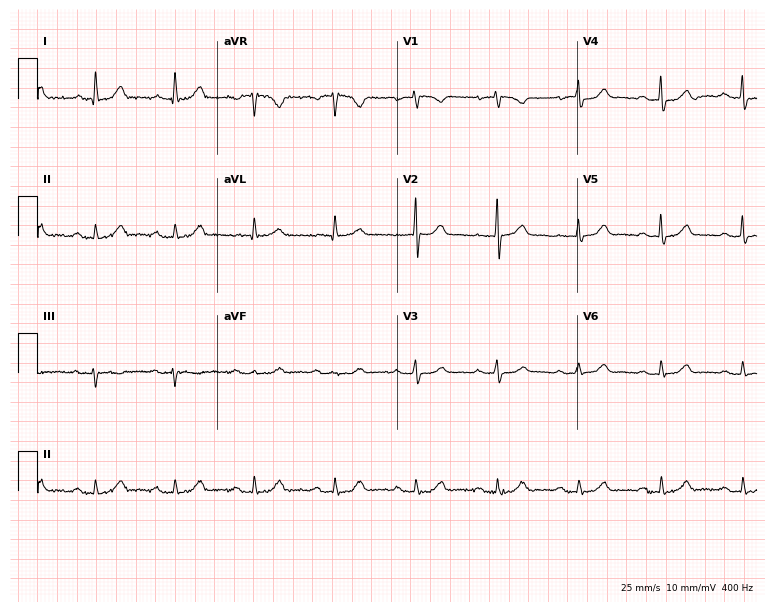
12-lead ECG from a female patient, 84 years old (7.3-second recording at 400 Hz). Recorded interpretation: within normal limits.